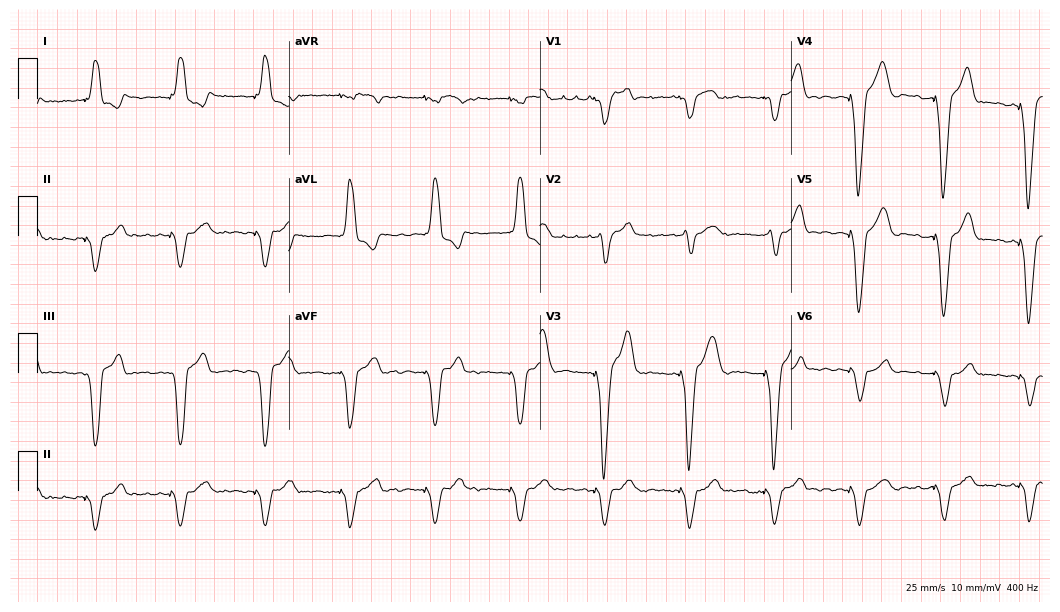
ECG — a male, 82 years old. Screened for six findings — first-degree AV block, right bundle branch block, left bundle branch block, sinus bradycardia, atrial fibrillation, sinus tachycardia — none is recorded.